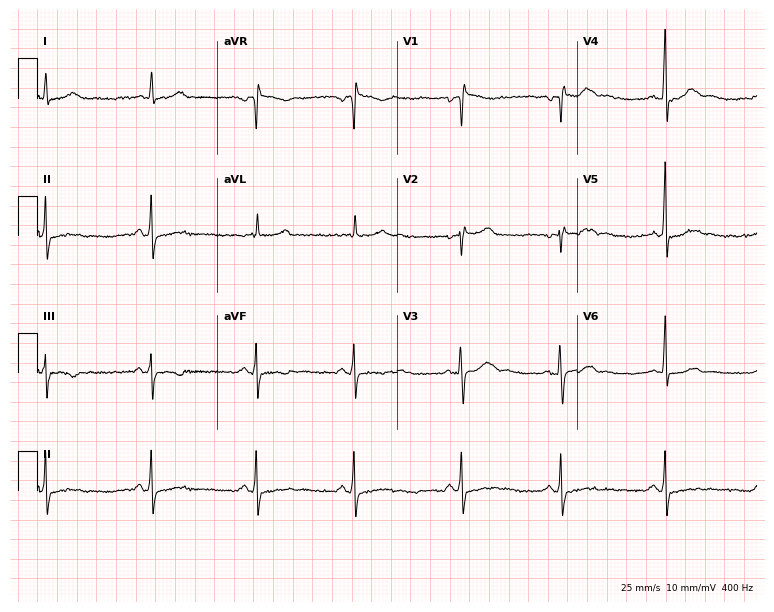
Electrocardiogram (7.3-second recording at 400 Hz), a 47-year-old woman. Of the six screened findings (first-degree AV block, right bundle branch block (RBBB), left bundle branch block (LBBB), sinus bradycardia, atrial fibrillation (AF), sinus tachycardia), none is recorded. Findings outside these six are not listed.